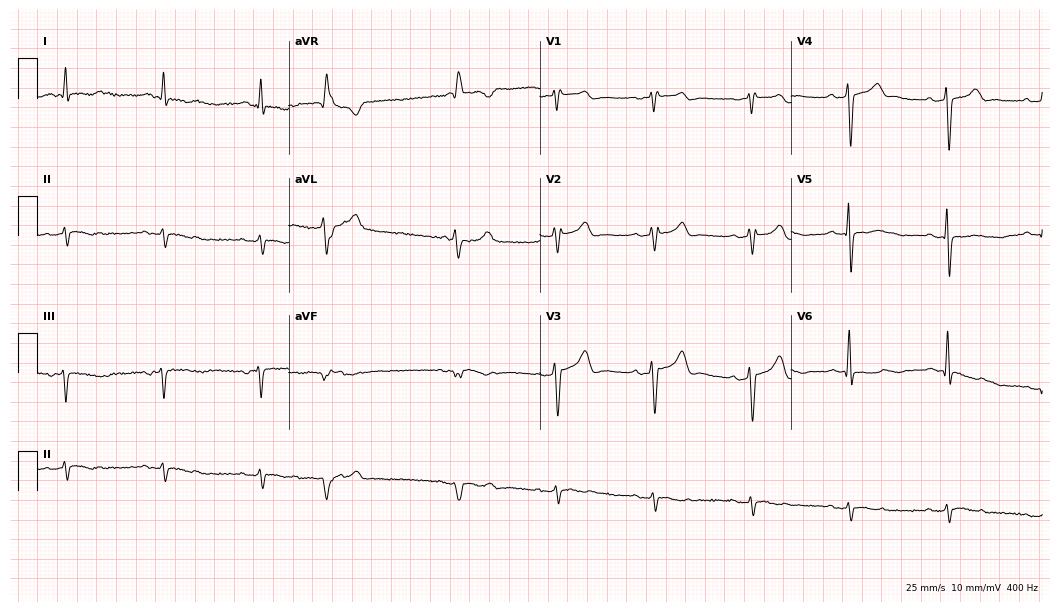
12-lead ECG from a male, 73 years old. No first-degree AV block, right bundle branch block (RBBB), left bundle branch block (LBBB), sinus bradycardia, atrial fibrillation (AF) or sinus tachycardia recorded for this tracing.